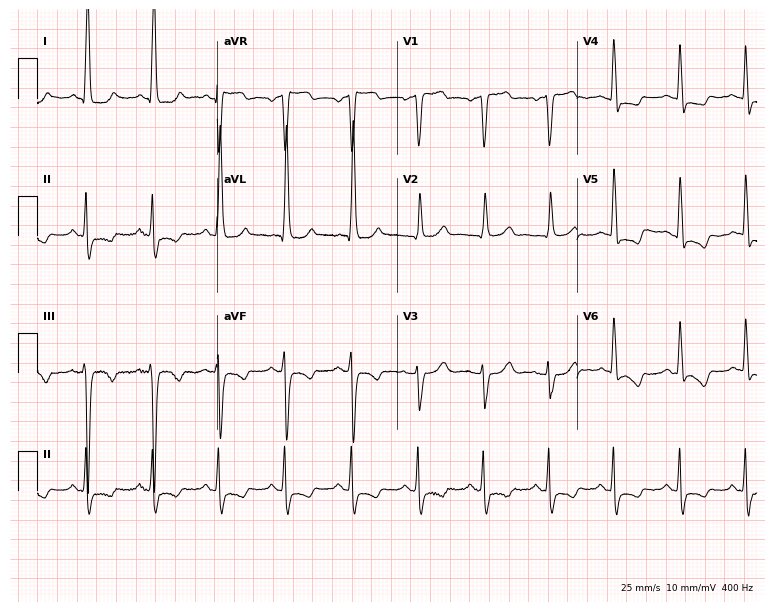
12-lead ECG (7.3-second recording at 400 Hz) from a male patient, 84 years old. Screened for six findings — first-degree AV block, right bundle branch block (RBBB), left bundle branch block (LBBB), sinus bradycardia, atrial fibrillation (AF), sinus tachycardia — none is recorded.